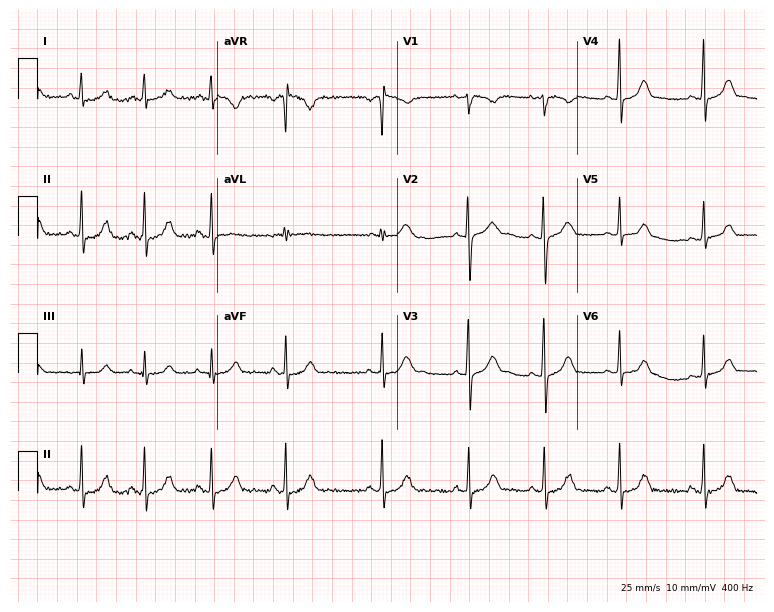
12-lead ECG from an 18-year-old woman. No first-degree AV block, right bundle branch block, left bundle branch block, sinus bradycardia, atrial fibrillation or sinus tachycardia recorded for this tracing. Only these six findings were labelled.